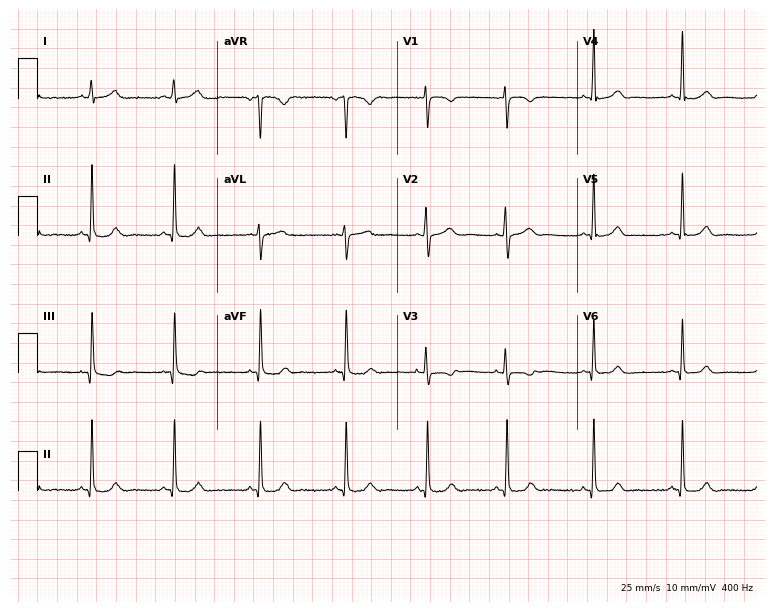
Standard 12-lead ECG recorded from a 19-year-old female. Read as a normal ECG.